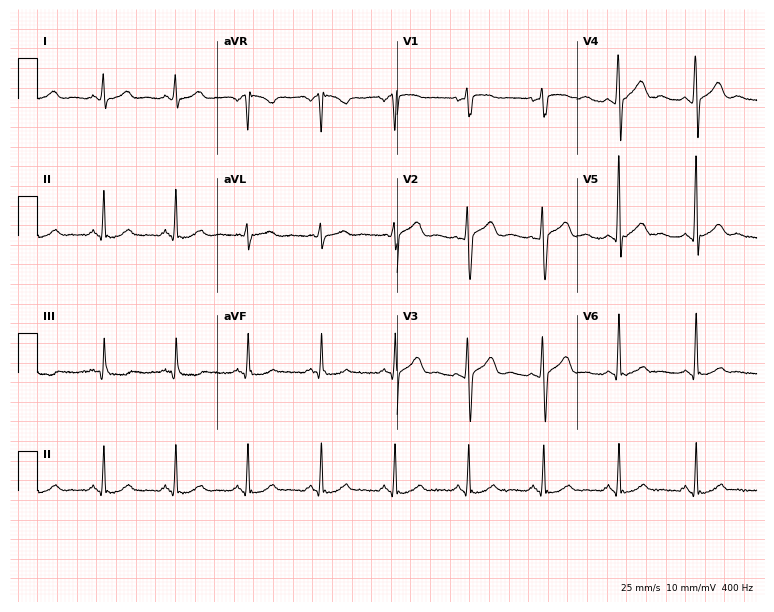
Resting 12-lead electrocardiogram. Patient: a 34-year-old woman. Read as a normal ECG.